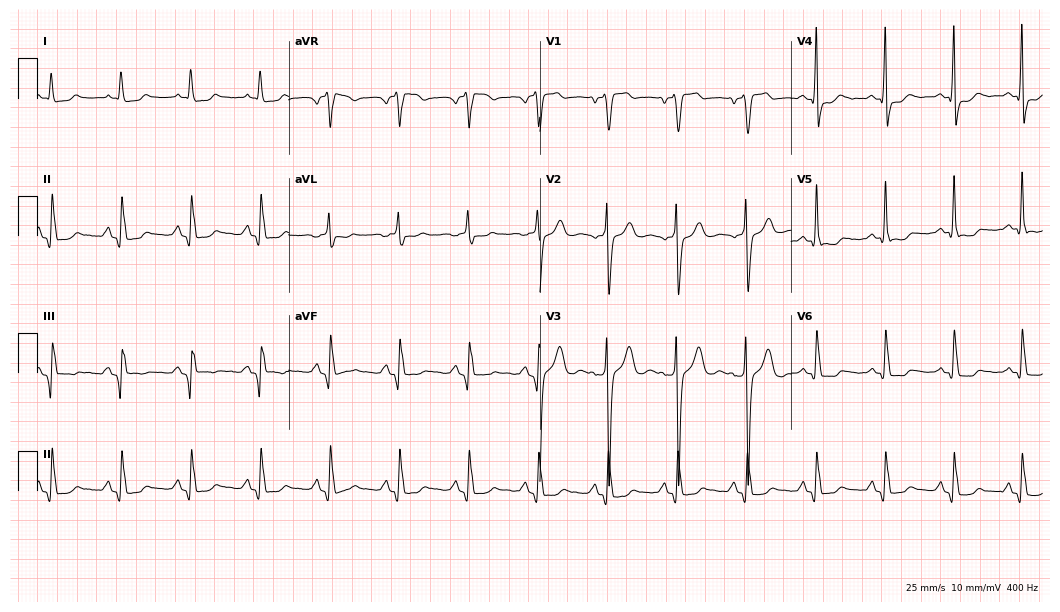
12-lead ECG from a 57-year-old man (10.2-second recording at 400 Hz). No first-degree AV block, right bundle branch block (RBBB), left bundle branch block (LBBB), sinus bradycardia, atrial fibrillation (AF) or sinus tachycardia recorded for this tracing.